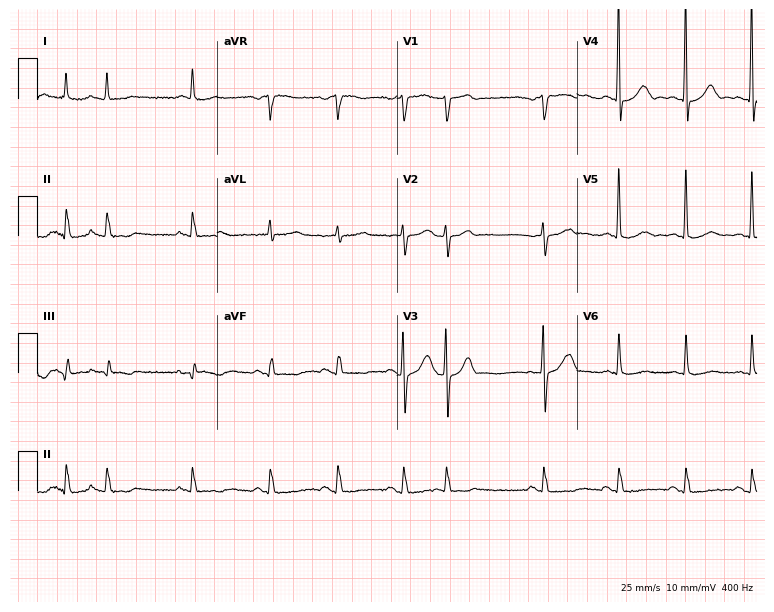
ECG — a male patient, 74 years old. Labelled as a normal ECG.